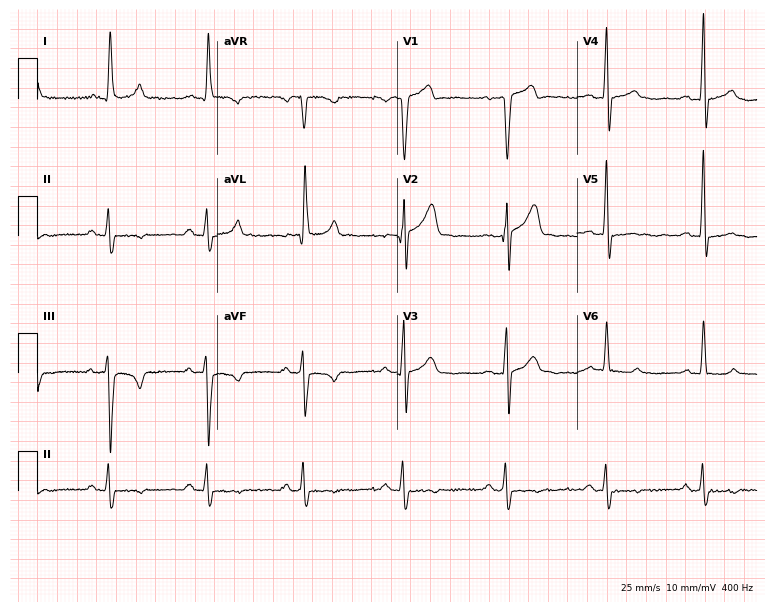
12-lead ECG (7.3-second recording at 400 Hz) from a male patient, 70 years old. Screened for six findings — first-degree AV block, right bundle branch block (RBBB), left bundle branch block (LBBB), sinus bradycardia, atrial fibrillation (AF), sinus tachycardia — none is recorded. Findings outside these six are not listed.